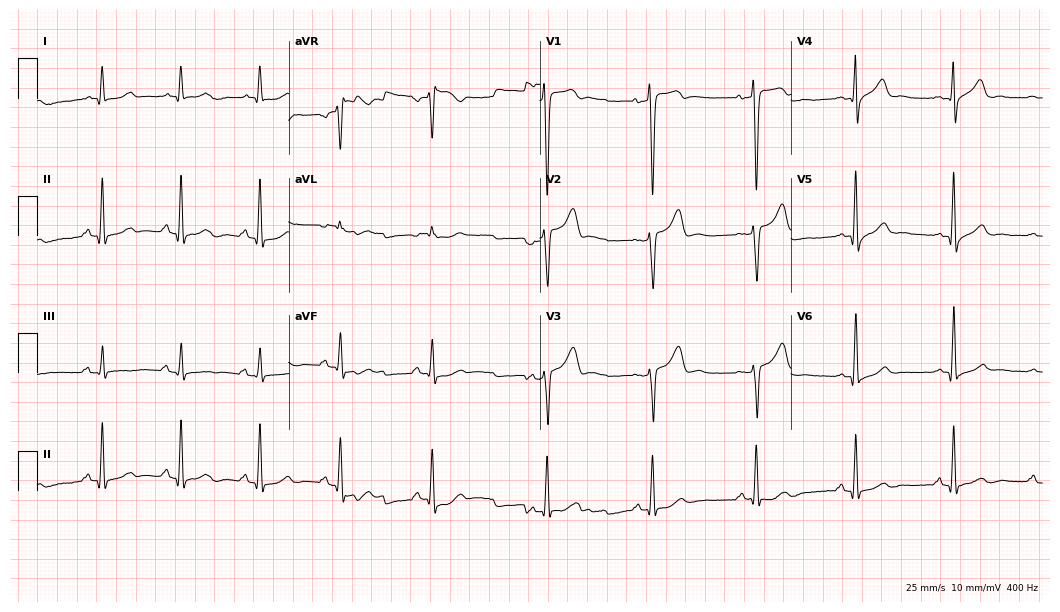
Standard 12-lead ECG recorded from a man, 31 years old. Read as a normal ECG.